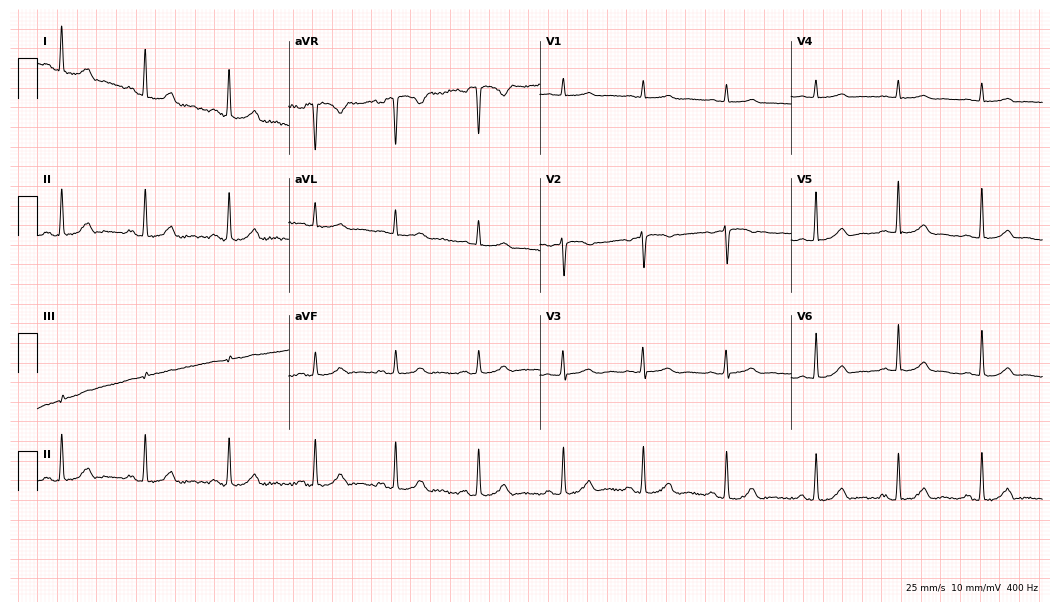
12-lead ECG from a woman, 50 years old. Screened for six findings — first-degree AV block, right bundle branch block, left bundle branch block, sinus bradycardia, atrial fibrillation, sinus tachycardia — none is recorded.